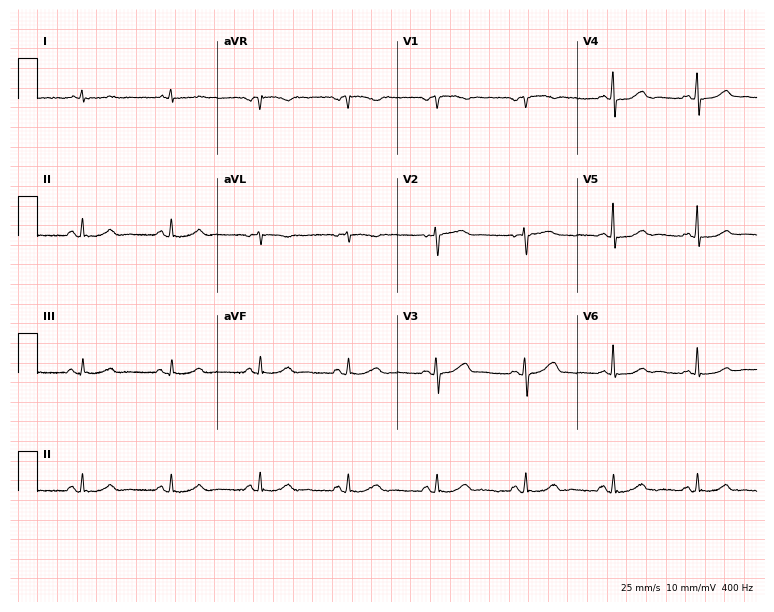
Standard 12-lead ECG recorded from a female patient, 52 years old. None of these six findings is recorded: first-degree AV block, right bundle branch block (RBBB), left bundle branch block (LBBB), sinus bradycardia, atrial fibrillation (AF), sinus tachycardia.